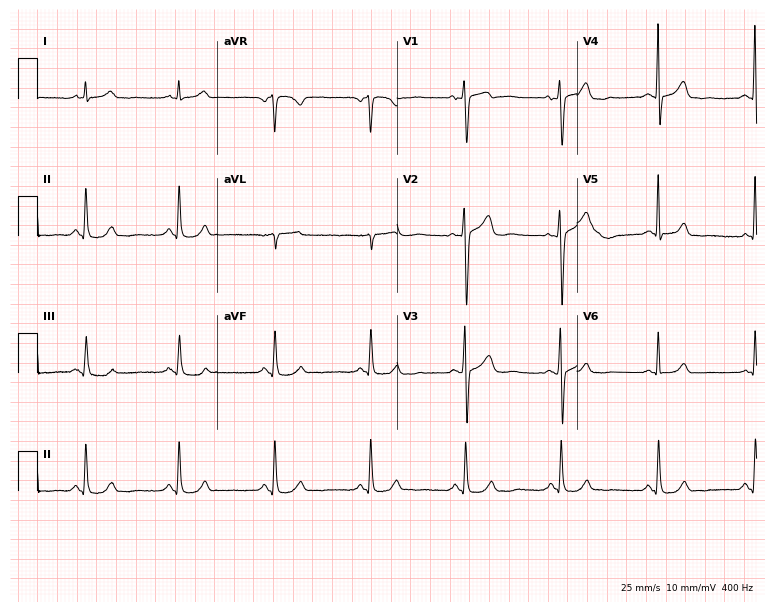
12-lead ECG from a 55-year-old man (7.3-second recording at 400 Hz). Recorded interpretation: within normal limits.